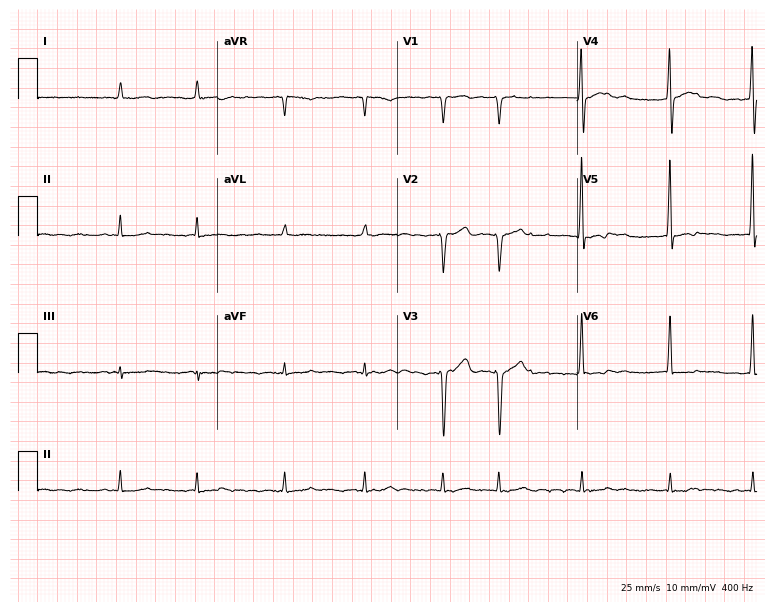
12-lead ECG from a male patient, 79 years old. Shows atrial fibrillation.